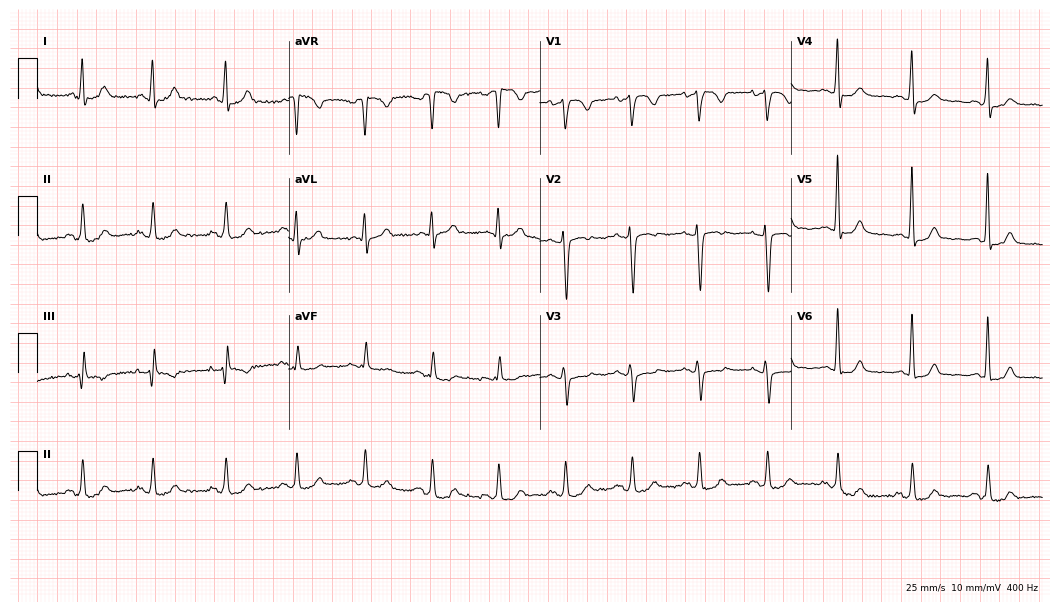
Electrocardiogram (10.2-second recording at 400 Hz), a female, 42 years old. Of the six screened findings (first-degree AV block, right bundle branch block (RBBB), left bundle branch block (LBBB), sinus bradycardia, atrial fibrillation (AF), sinus tachycardia), none is recorded.